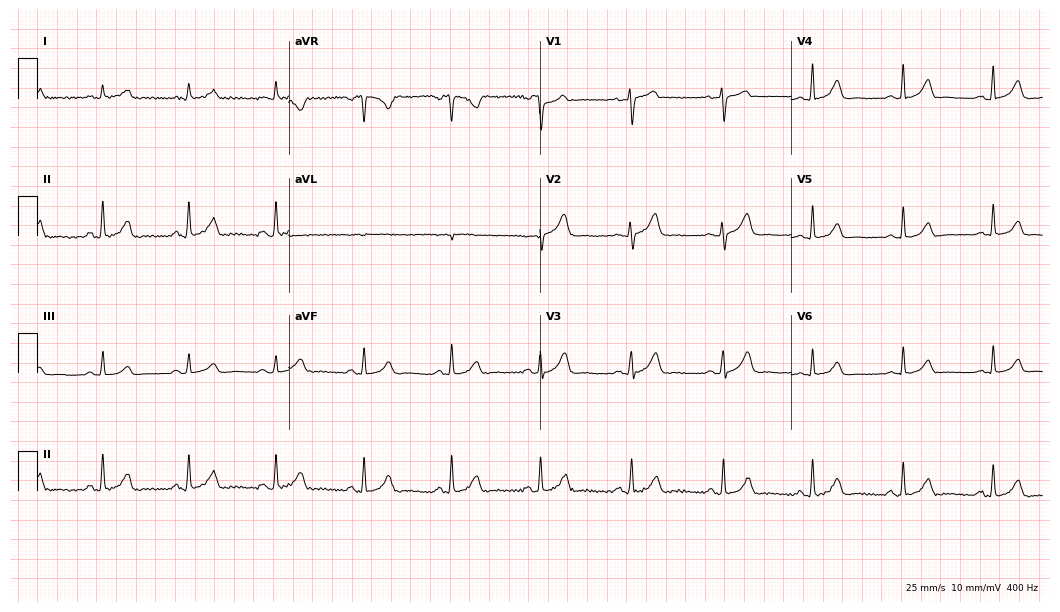
12-lead ECG from a 56-year-old woman. Labelled as a normal ECG.